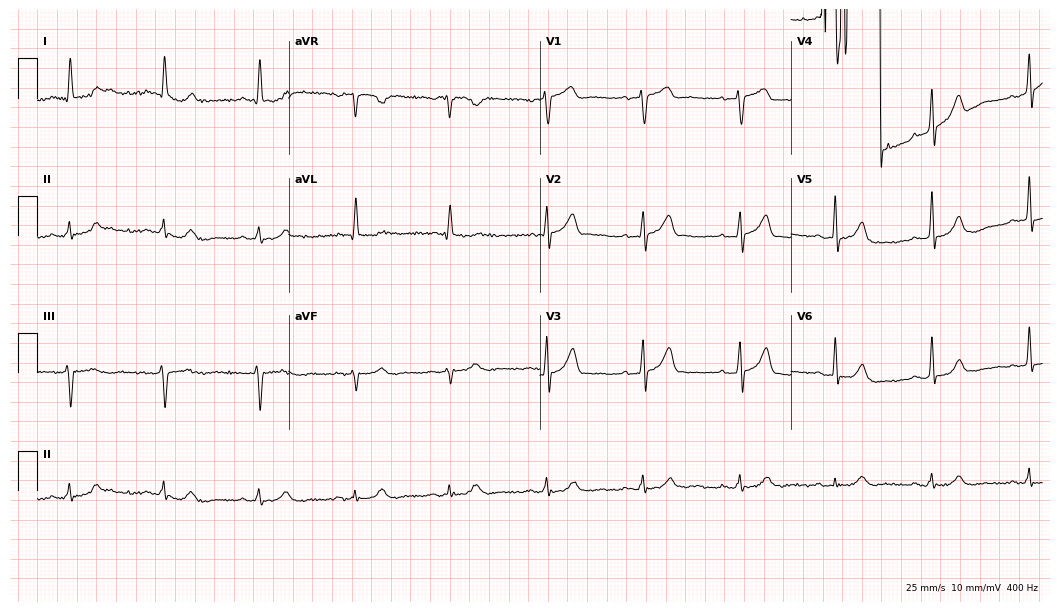
Resting 12-lead electrocardiogram. Patient: a man, 57 years old. None of these six findings is recorded: first-degree AV block, right bundle branch block, left bundle branch block, sinus bradycardia, atrial fibrillation, sinus tachycardia.